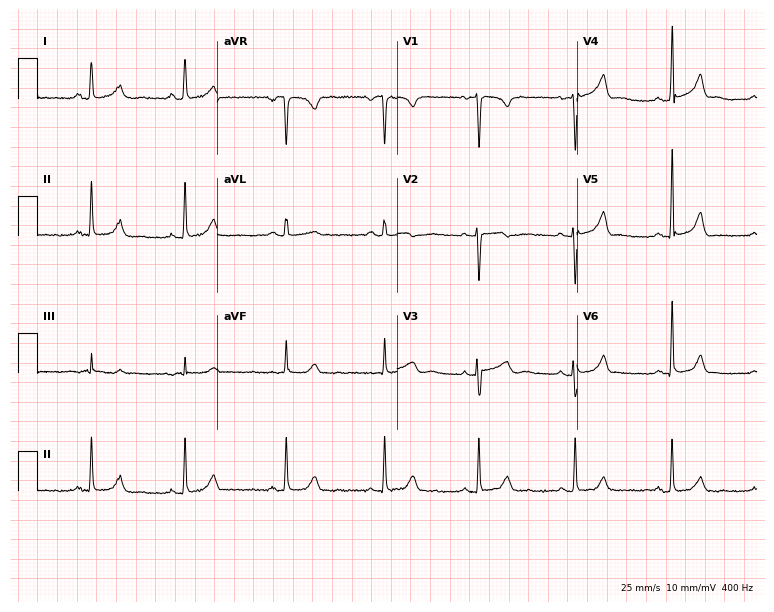
Electrocardiogram (7.3-second recording at 400 Hz), a woman, 23 years old. Overall reading on record: normal ECG.